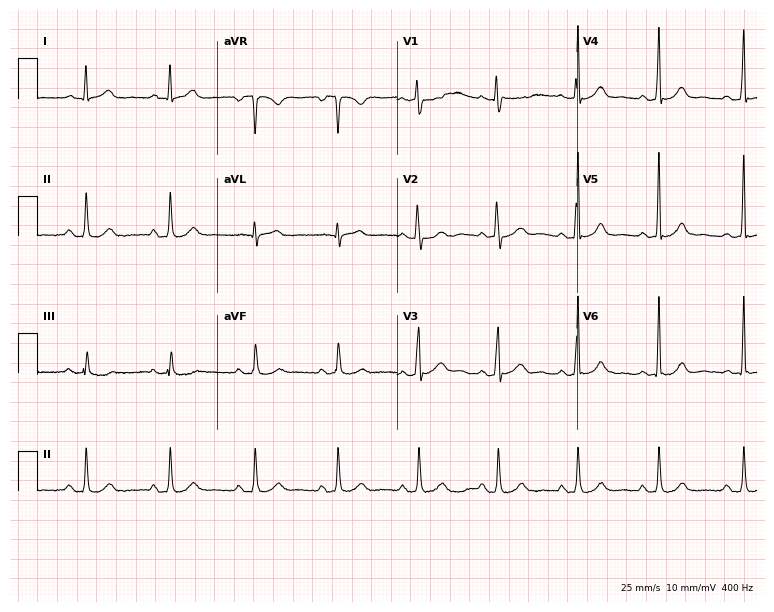
12-lead ECG (7.3-second recording at 400 Hz) from a 26-year-old man. Labelled as a normal ECG.